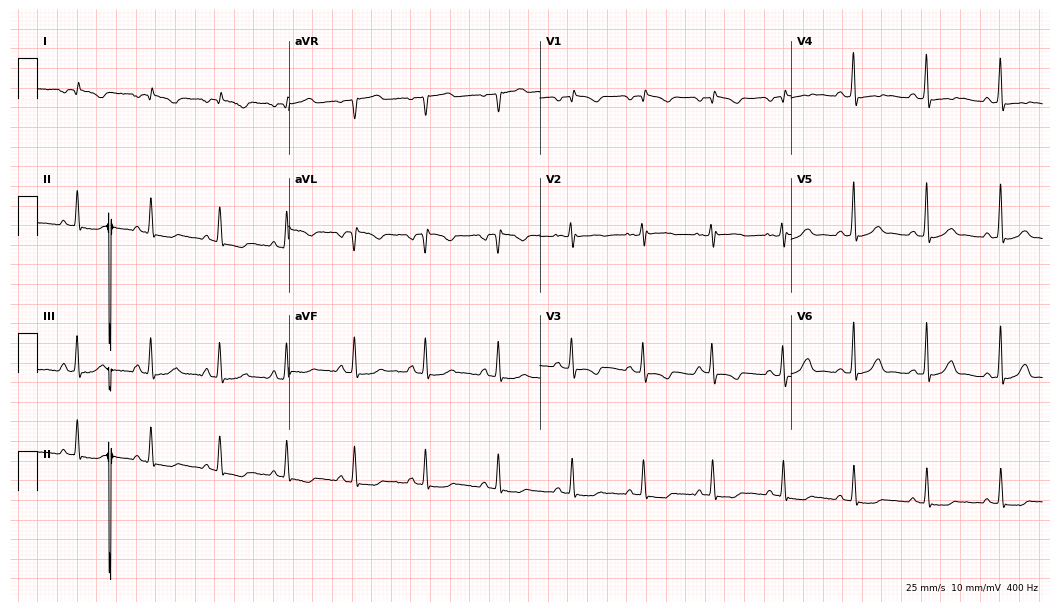
ECG — a female, 28 years old. Screened for six findings — first-degree AV block, right bundle branch block (RBBB), left bundle branch block (LBBB), sinus bradycardia, atrial fibrillation (AF), sinus tachycardia — none is recorded. Other findings, if any, are not listed.